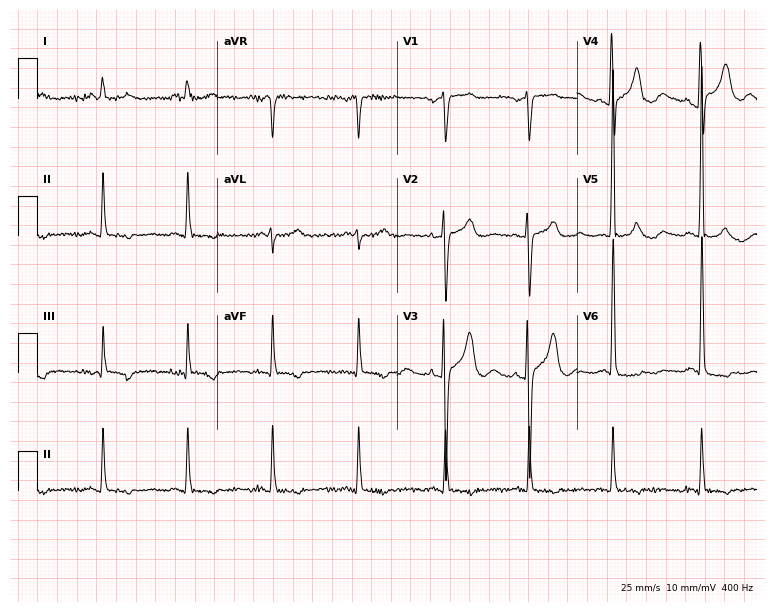
12-lead ECG from a man, 79 years old. No first-degree AV block, right bundle branch block (RBBB), left bundle branch block (LBBB), sinus bradycardia, atrial fibrillation (AF) or sinus tachycardia recorded for this tracing. Findings outside these six are not listed.